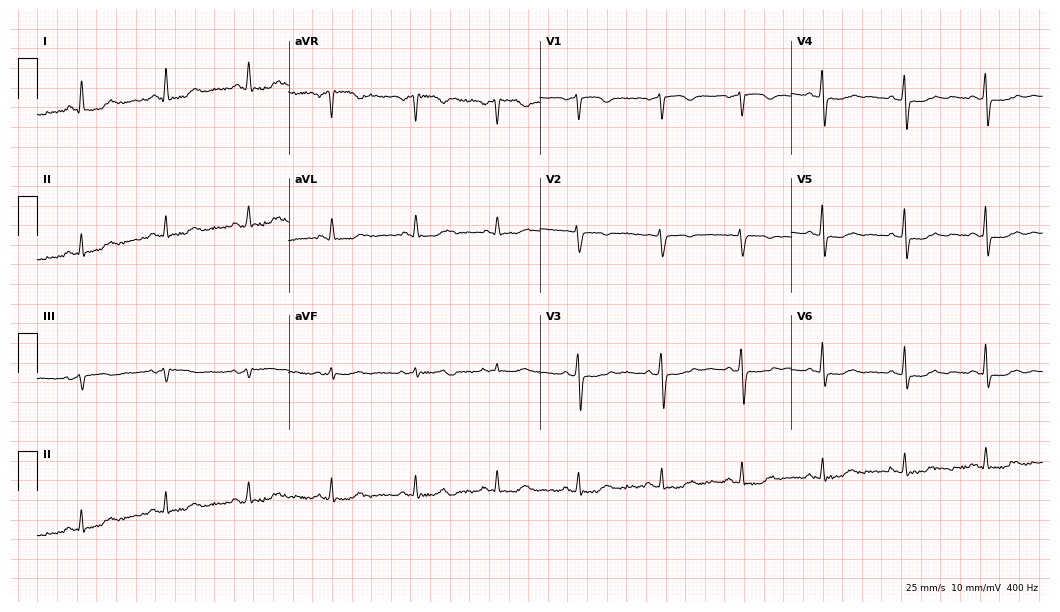
ECG — a female patient, 53 years old. Screened for six findings — first-degree AV block, right bundle branch block, left bundle branch block, sinus bradycardia, atrial fibrillation, sinus tachycardia — none is recorded. Findings outside these six are not listed.